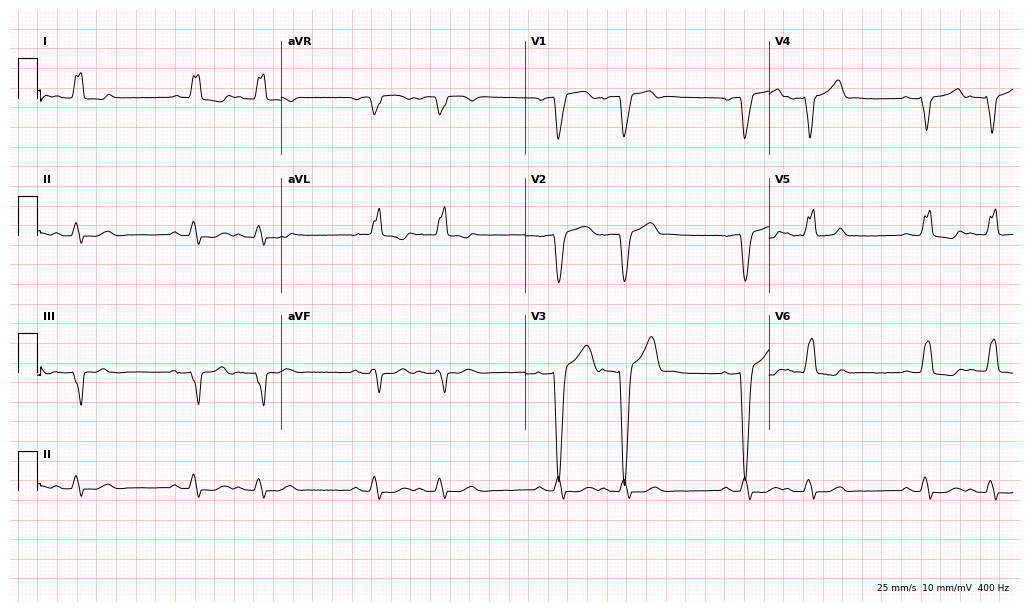
ECG (9.9-second recording at 400 Hz) — a male, 80 years old. Findings include left bundle branch block (LBBB).